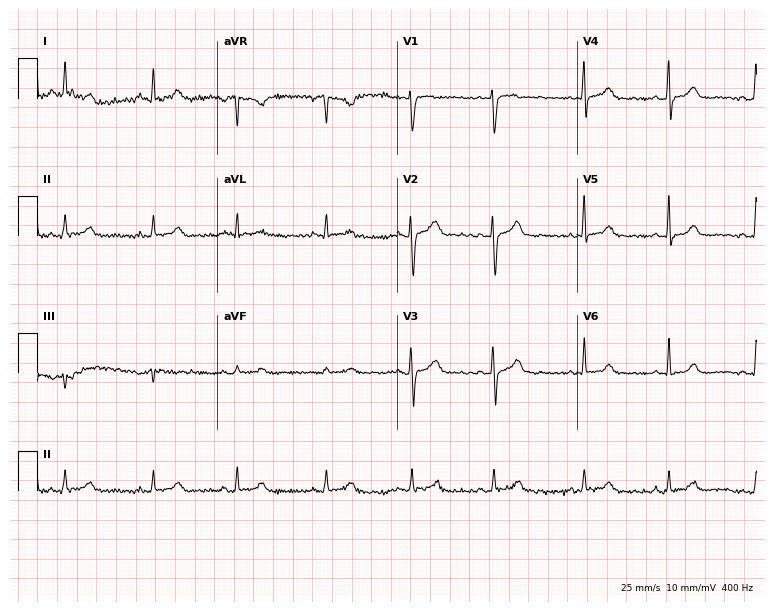
12-lead ECG from a 37-year-old female patient (7.3-second recording at 400 Hz). Recorded interpretation: within normal limits.